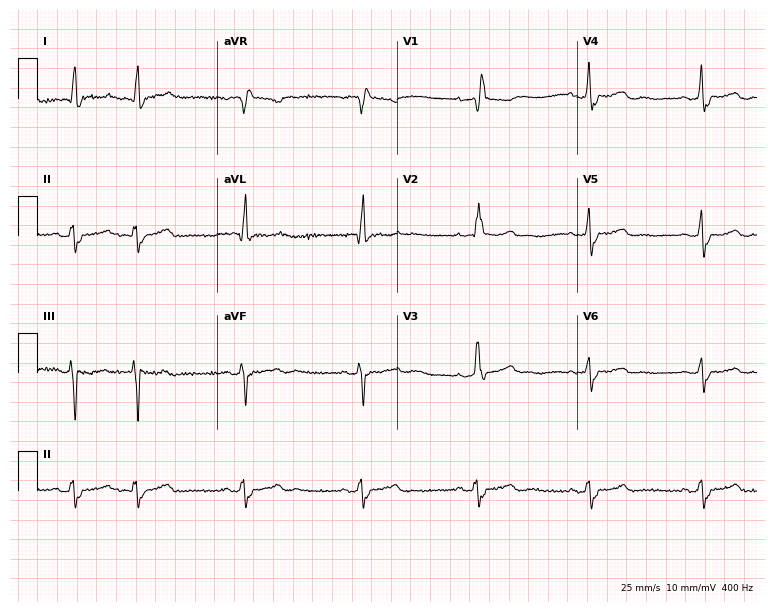
12-lead ECG from a 75-year-old female patient (7.3-second recording at 400 Hz). Shows right bundle branch block.